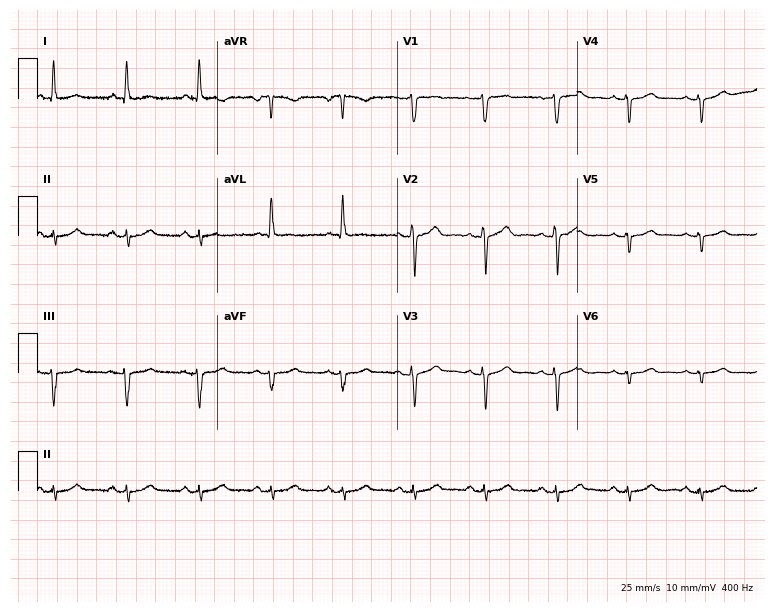
ECG — a man, 54 years old. Screened for six findings — first-degree AV block, right bundle branch block, left bundle branch block, sinus bradycardia, atrial fibrillation, sinus tachycardia — none is recorded.